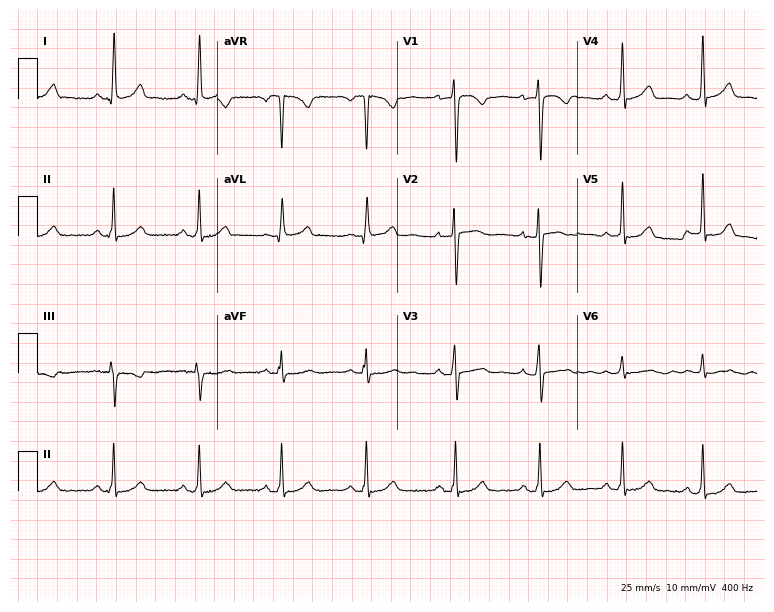
ECG — a 38-year-old woman. Labelled as a normal ECG.